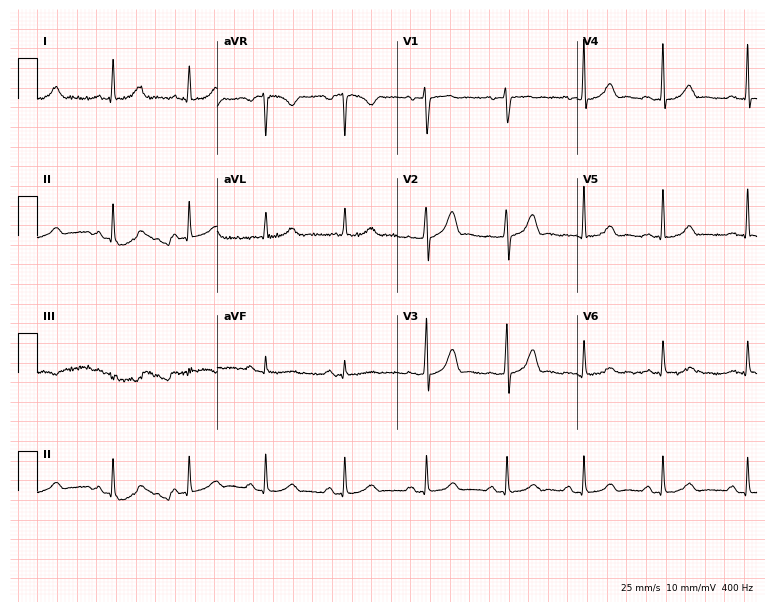
Electrocardiogram (7.3-second recording at 400 Hz), a female, 39 years old. Of the six screened findings (first-degree AV block, right bundle branch block, left bundle branch block, sinus bradycardia, atrial fibrillation, sinus tachycardia), none is recorded.